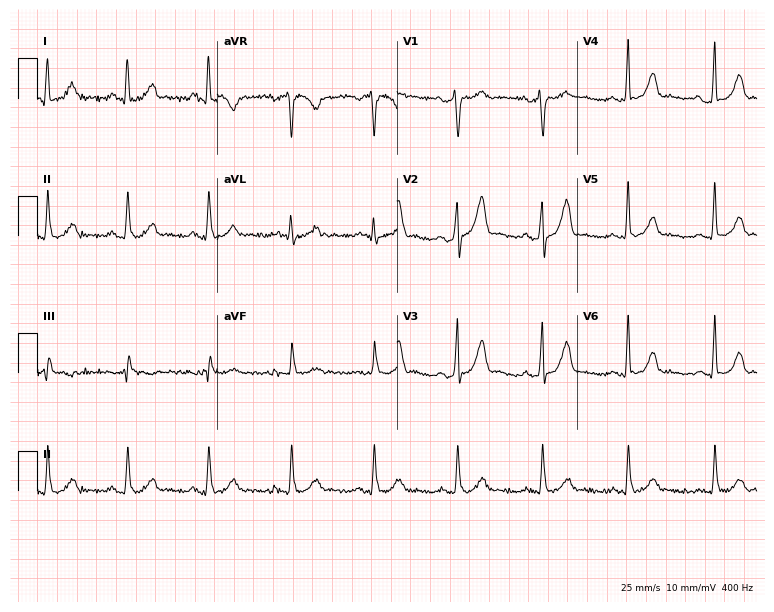
12-lead ECG from a male patient, 42 years old. Screened for six findings — first-degree AV block, right bundle branch block, left bundle branch block, sinus bradycardia, atrial fibrillation, sinus tachycardia — none is recorded. Only these six findings were labelled.